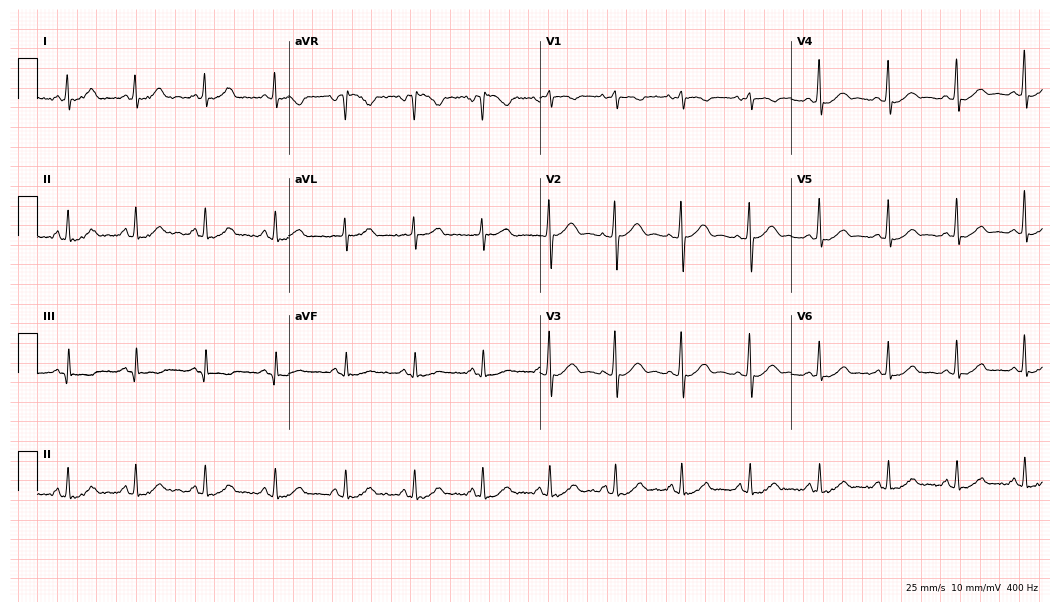
ECG (10.2-second recording at 400 Hz) — a 49-year-old female. Screened for six findings — first-degree AV block, right bundle branch block (RBBB), left bundle branch block (LBBB), sinus bradycardia, atrial fibrillation (AF), sinus tachycardia — none is recorded.